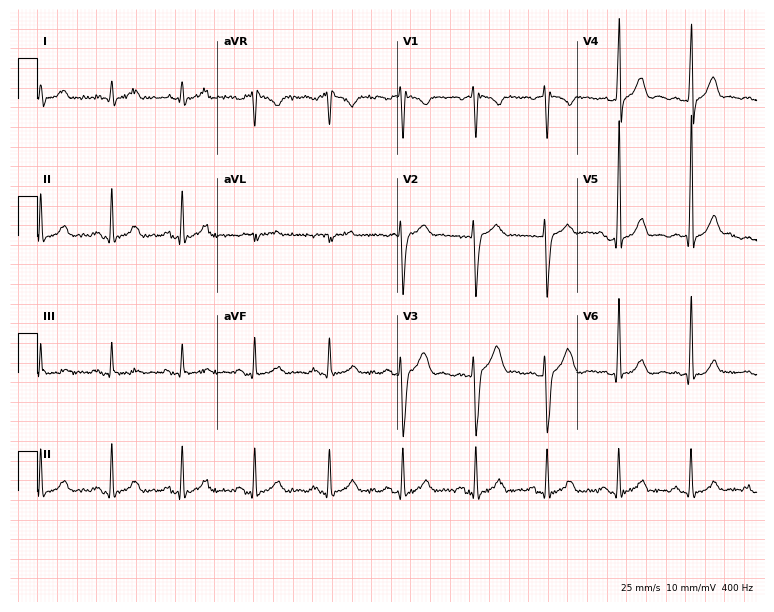
Resting 12-lead electrocardiogram (7.3-second recording at 400 Hz). Patient: a man, 25 years old. None of these six findings is recorded: first-degree AV block, right bundle branch block, left bundle branch block, sinus bradycardia, atrial fibrillation, sinus tachycardia. Other findings, if any, are not listed.